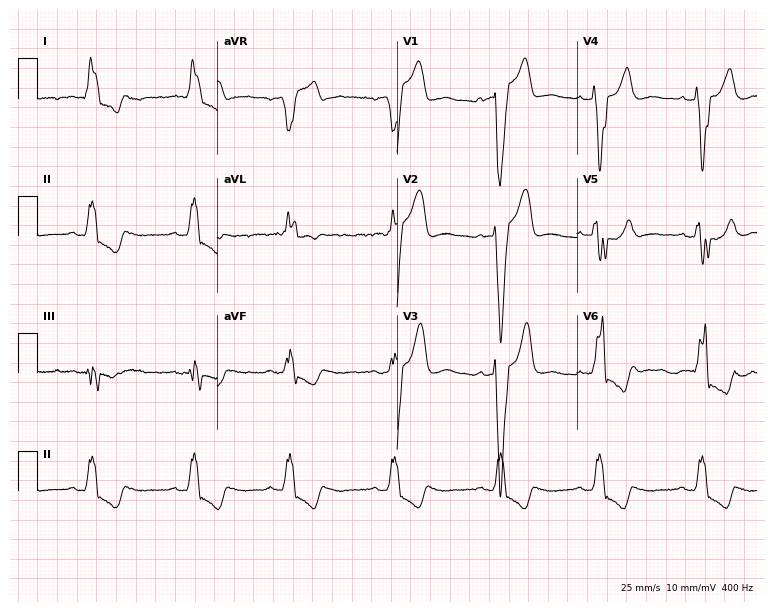
12-lead ECG from an 80-year-old woman. Shows left bundle branch block.